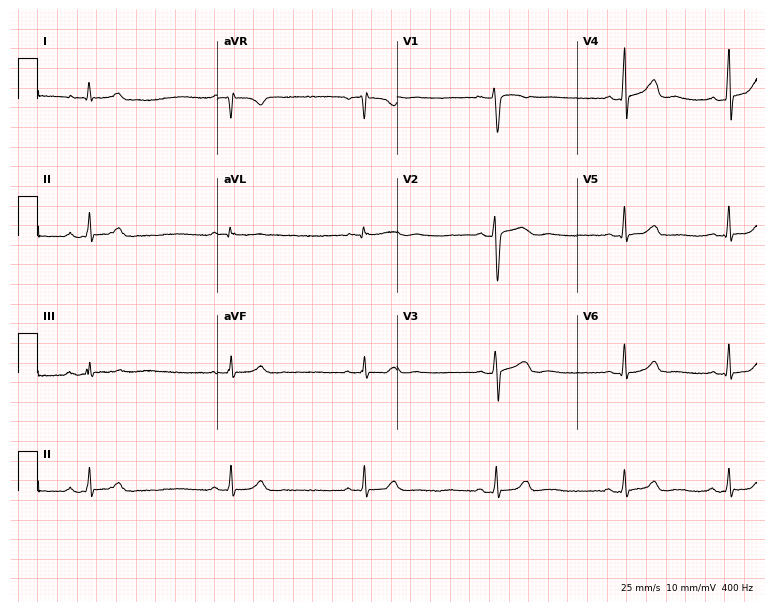
Resting 12-lead electrocardiogram. Patient: a female, 37 years old. None of these six findings is recorded: first-degree AV block, right bundle branch block (RBBB), left bundle branch block (LBBB), sinus bradycardia, atrial fibrillation (AF), sinus tachycardia.